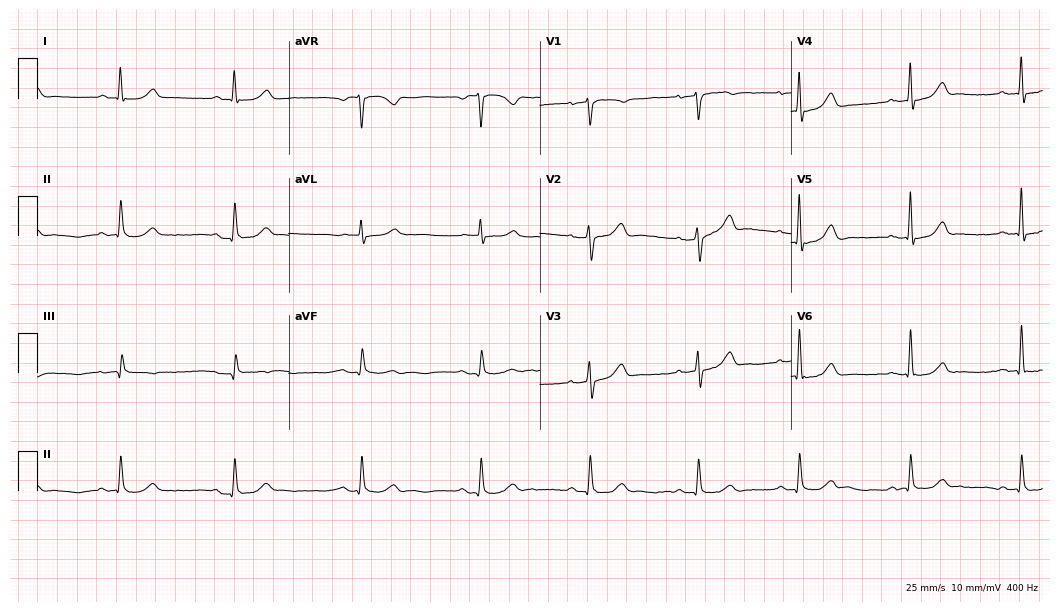
Standard 12-lead ECG recorded from a 47-year-old male (10.2-second recording at 400 Hz). Read as a normal ECG.